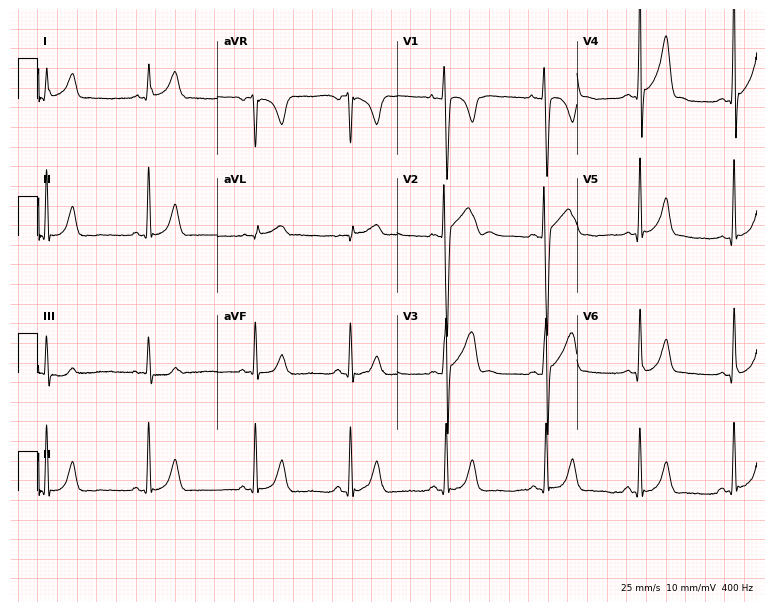
Resting 12-lead electrocardiogram (7.3-second recording at 400 Hz). Patient: a 17-year-old male. None of these six findings is recorded: first-degree AV block, right bundle branch block, left bundle branch block, sinus bradycardia, atrial fibrillation, sinus tachycardia. Only these six findings were labelled.